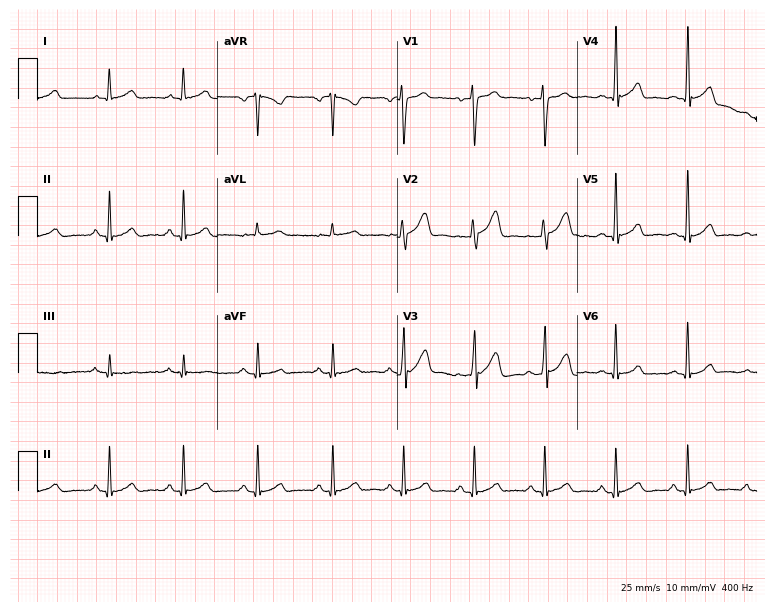
12-lead ECG from a male, 35 years old. Screened for six findings — first-degree AV block, right bundle branch block, left bundle branch block, sinus bradycardia, atrial fibrillation, sinus tachycardia — none is recorded. Only these six findings were labelled.